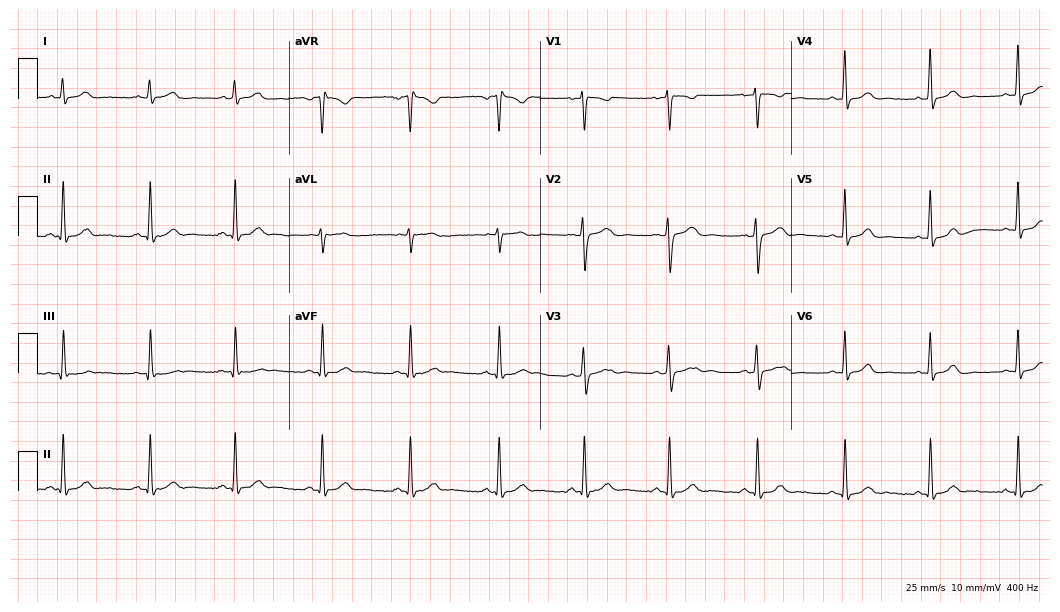
ECG (10.2-second recording at 400 Hz) — a 26-year-old female patient. Screened for six findings — first-degree AV block, right bundle branch block, left bundle branch block, sinus bradycardia, atrial fibrillation, sinus tachycardia — none is recorded.